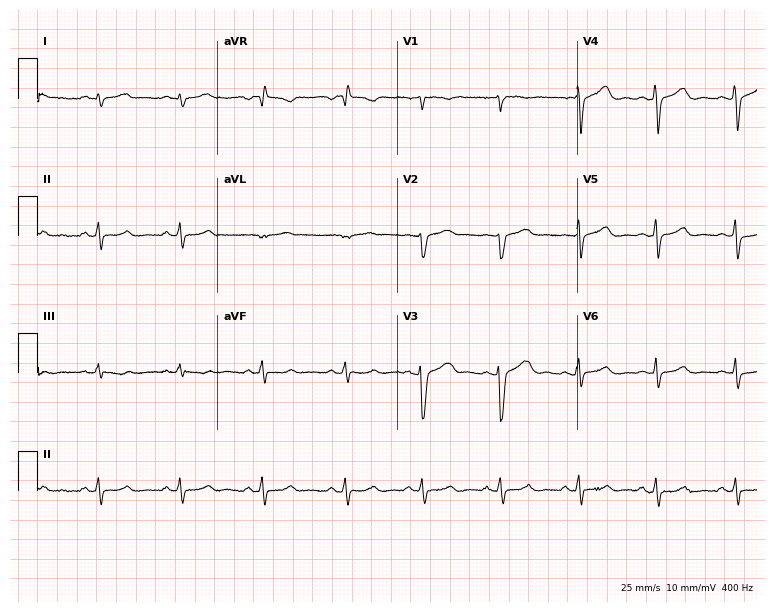
12-lead ECG from a female patient, 28 years old. No first-degree AV block, right bundle branch block, left bundle branch block, sinus bradycardia, atrial fibrillation or sinus tachycardia recorded for this tracing.